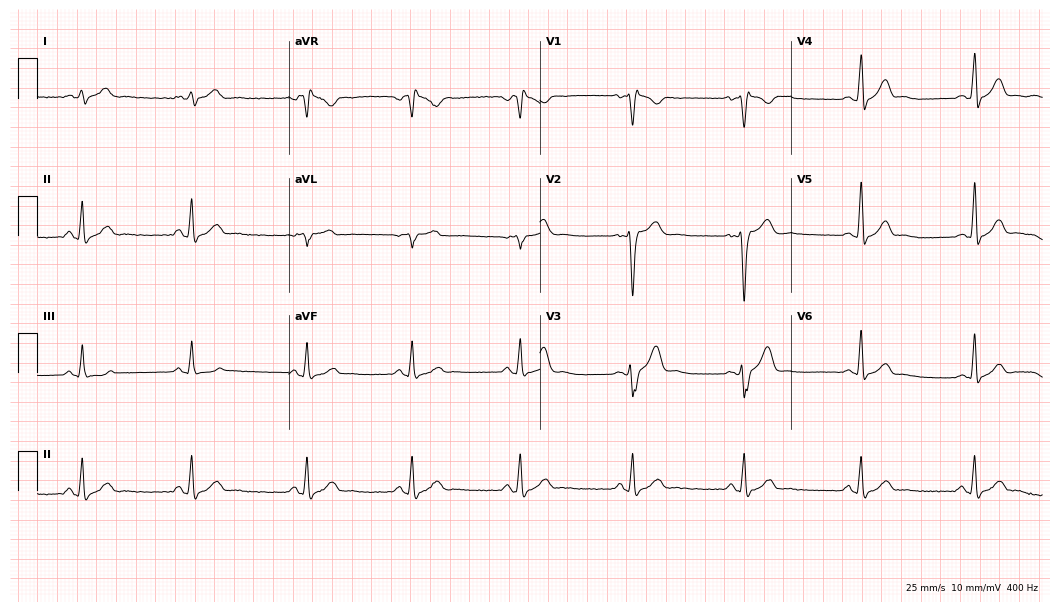
12-lead ECG (10.2-second recording at 400 Hz) from a 34-year-old man. Screened for six findings — first-degree AV block, right bundle branch block, left bundle branch block, sinus bradycardia, atrial fibrillation, sinus tachycardia — none is recorded. Other findings, if any, are not listed.